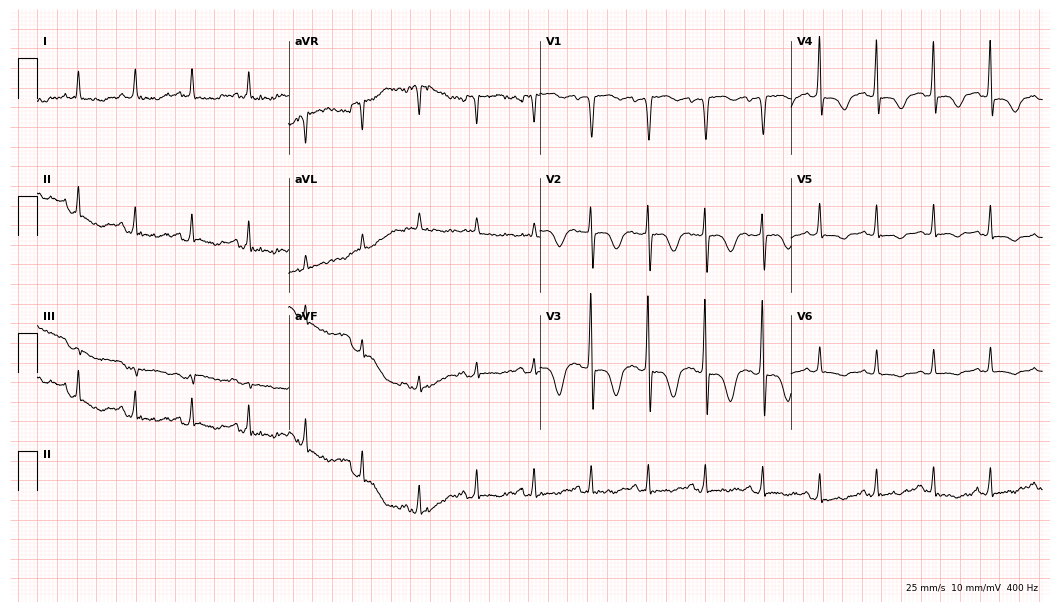
Electrocardiogram (10.2-second recording at 400 Hz), a female, 78 years old. Interpretation includes sinus tachycardia (a sinus rate of 100 beats per minute or more).